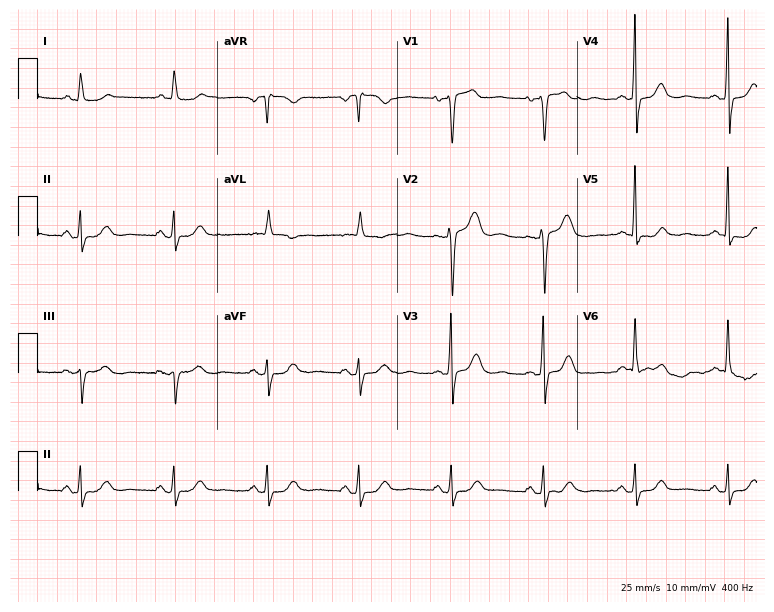
Standard 12-lead ECG recorded from a 75-year-old woman. None of these six findings is recorded: first-degree AV block, right bundle branch block, left bundle branch block, sinus bradycardia, atrial fibrillation, sinus tachycardia. Other findings, if any, are not listed.